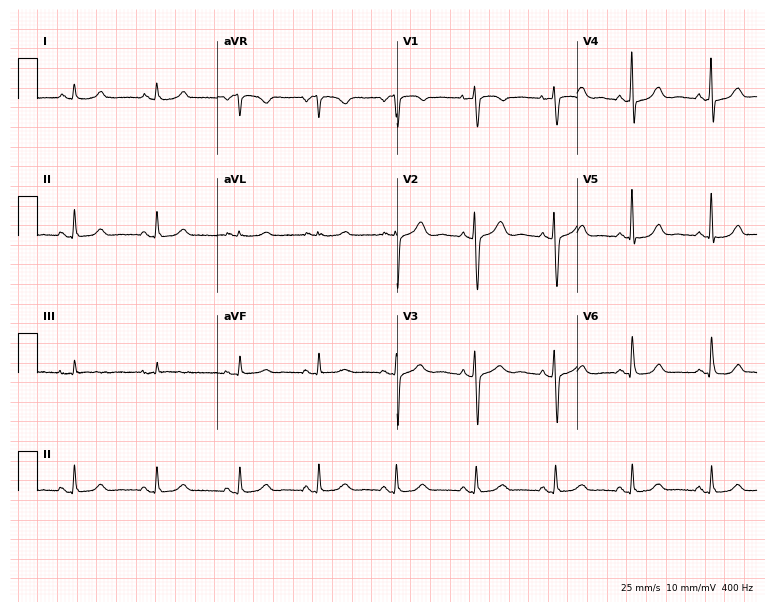
12-lead ECG from a 34-year-old female. Labelled as a normal ECG.